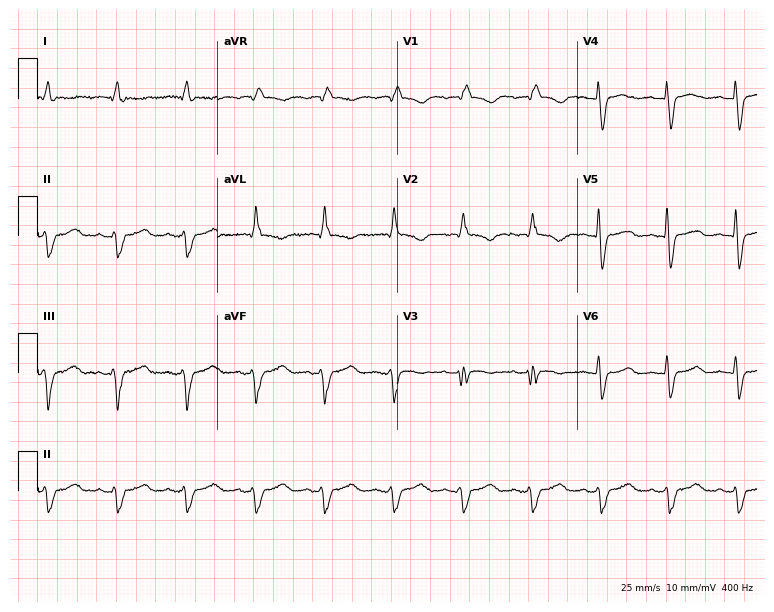
12-lead ECG from a woman, 59 years old. Shows right bundle branch block (RBBB).